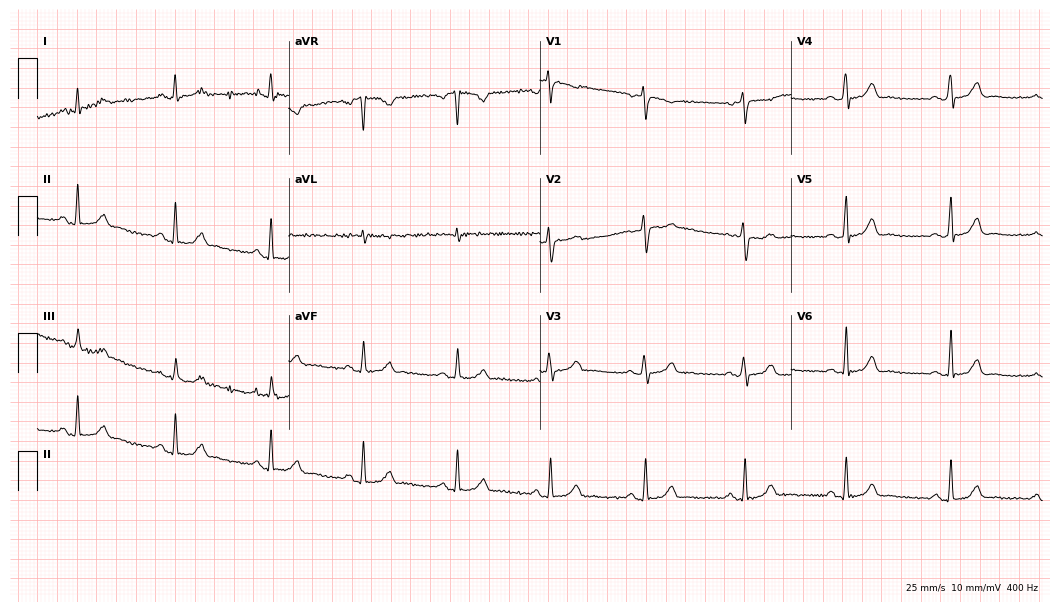
Electrocardiogram (10.2-second recording at 400 Hz), a 32-year-old woman. Overall reading on record: normal ECG.